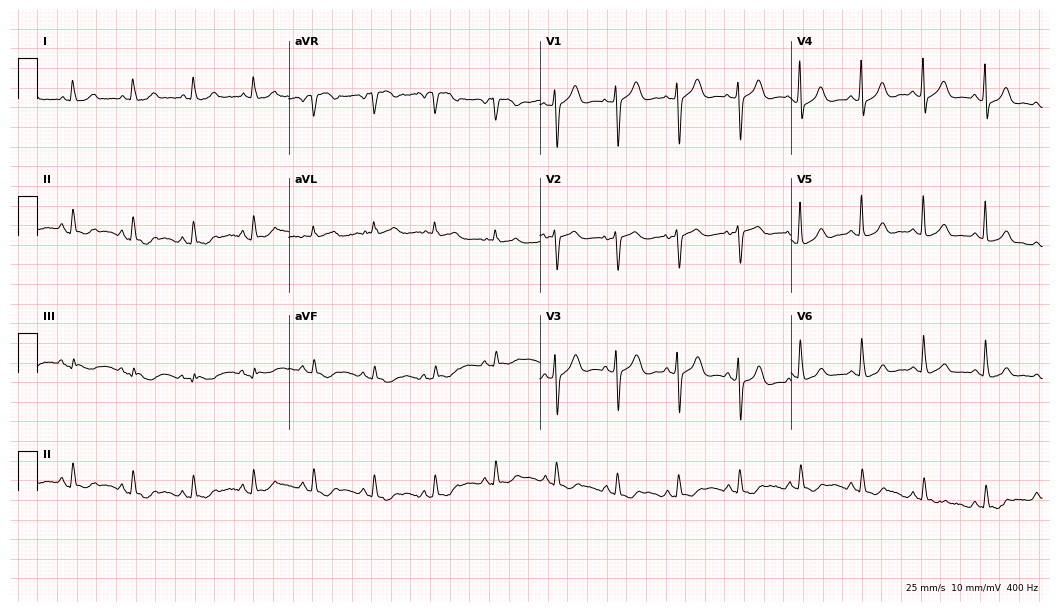
ECG — a female, 83 years old. Labelled as a normal ECG.